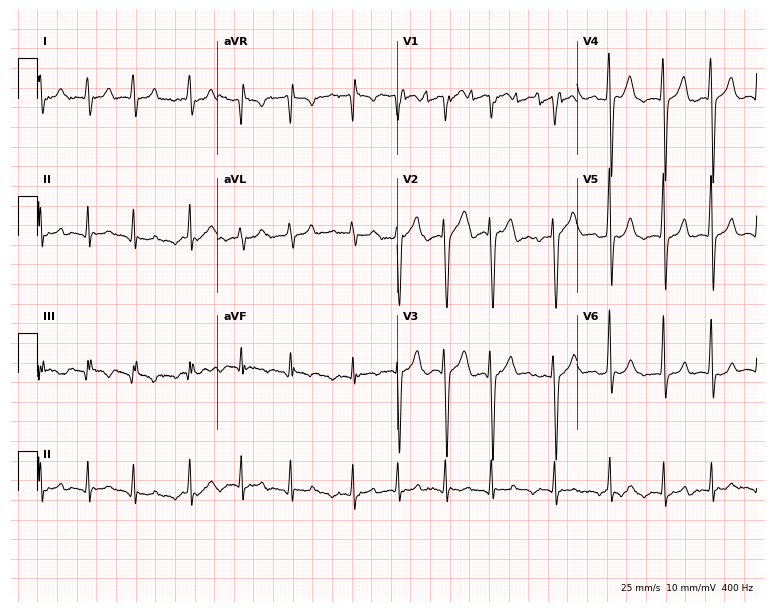
ECG (7.3-second recording at 400 Hz) — a man, 33 years old. Findings include atrial fibrillation (AF).